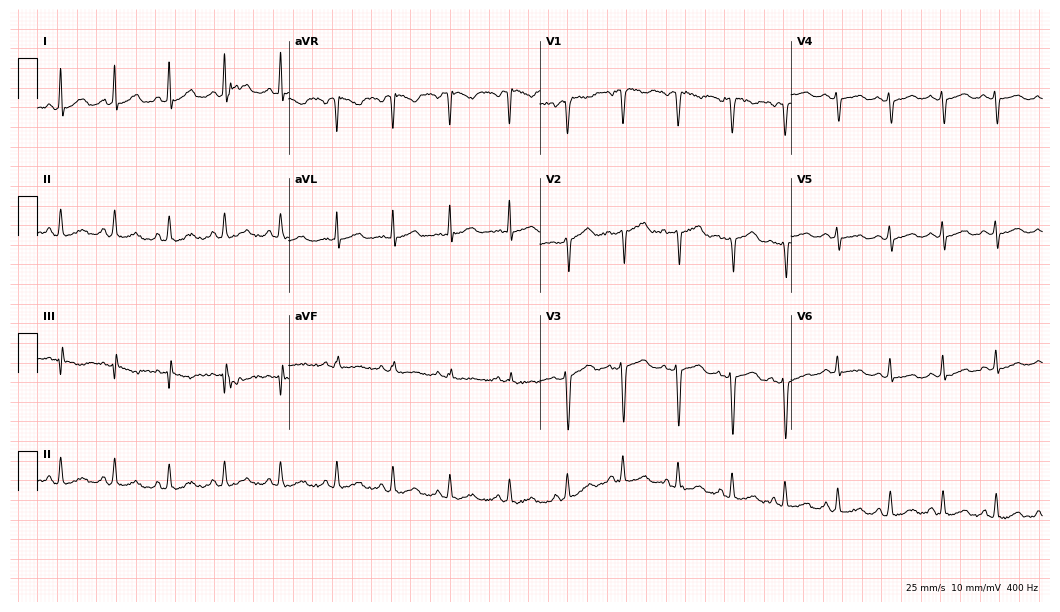
12-lead ECG from a woman, 44 years old. Findings include sinus tachycardia (a sinus rate of 100 beats per minute or more).